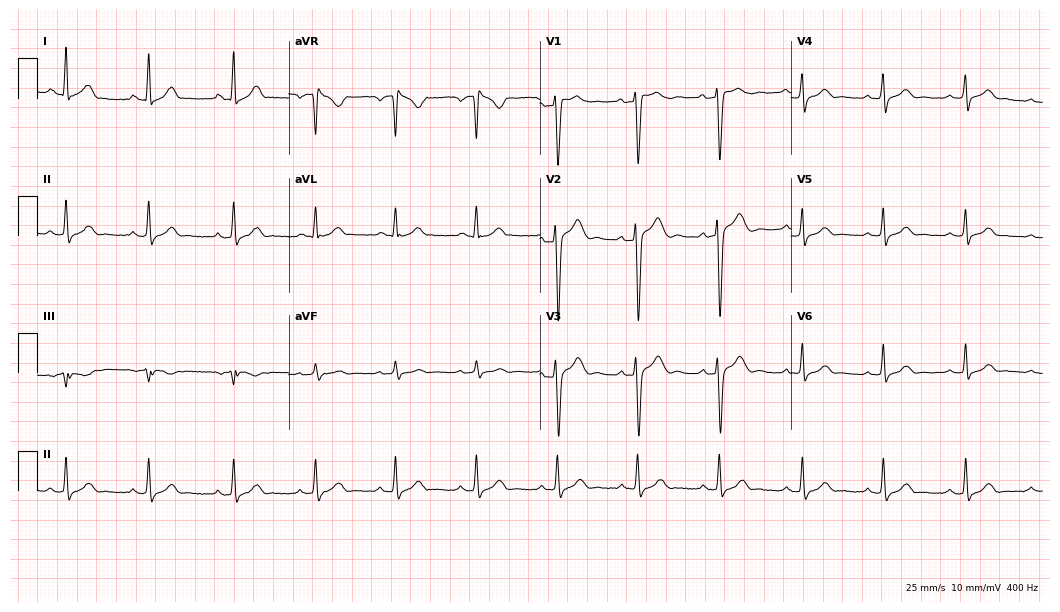
Resting 12-lead electrocardiogram. Patient: a man, 28 years old. None of these six findings is recorded: first-degree AV block, right bundle branch block (RBBB), left bundle branch block (LBBB), sinus bradycardia, atrial fibrillation (AF), sinus tachycardia. Findings outside these six are not listed.